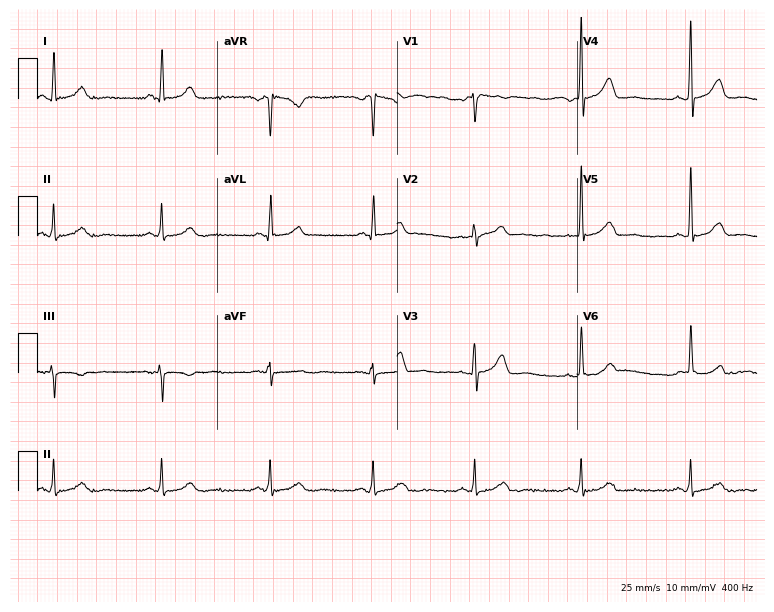
12-lead ECG from a female, 49 years old. Labelled as a normal ECG.